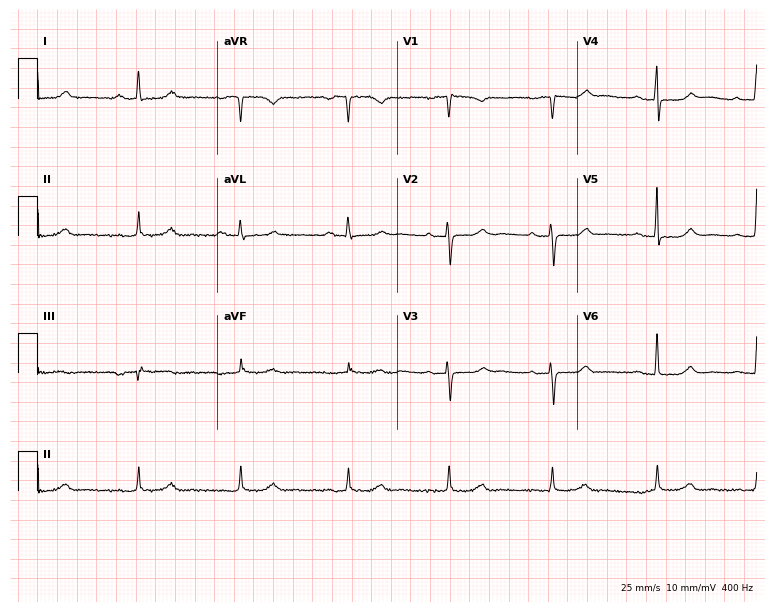
Standard 12-lead ECG recorded from a female patient, 51 years old. None of these six findings is recorded: first-degree AV block, right bundle branch block, left bundle branch block, sinus bradycardia, atrial fibrillation, sinus tachycardia.